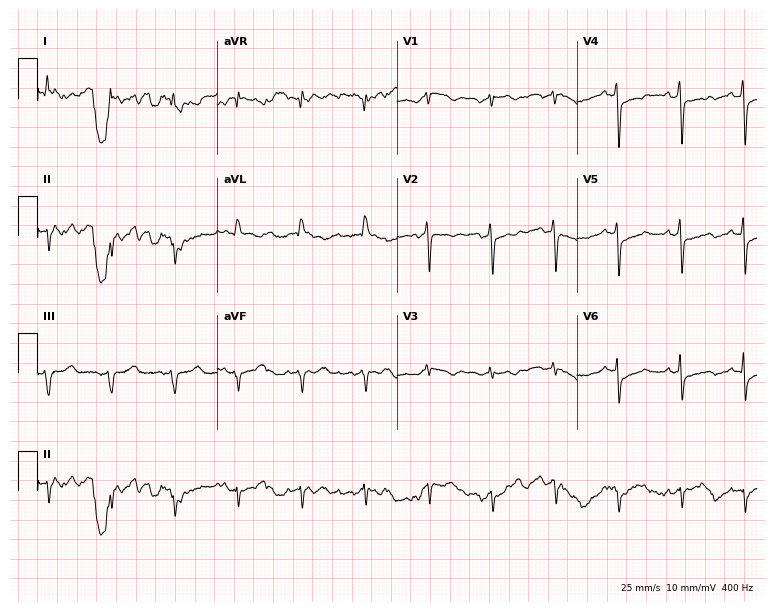
12-lead ECG from a 78-year-old man. No first-degree AV block, right bundle branch block (RBBB), left bundle branch block (LBBB), sinus bradycardia, atrial fibrillation (AF) or sinus tachycardia recorded for this tracing.